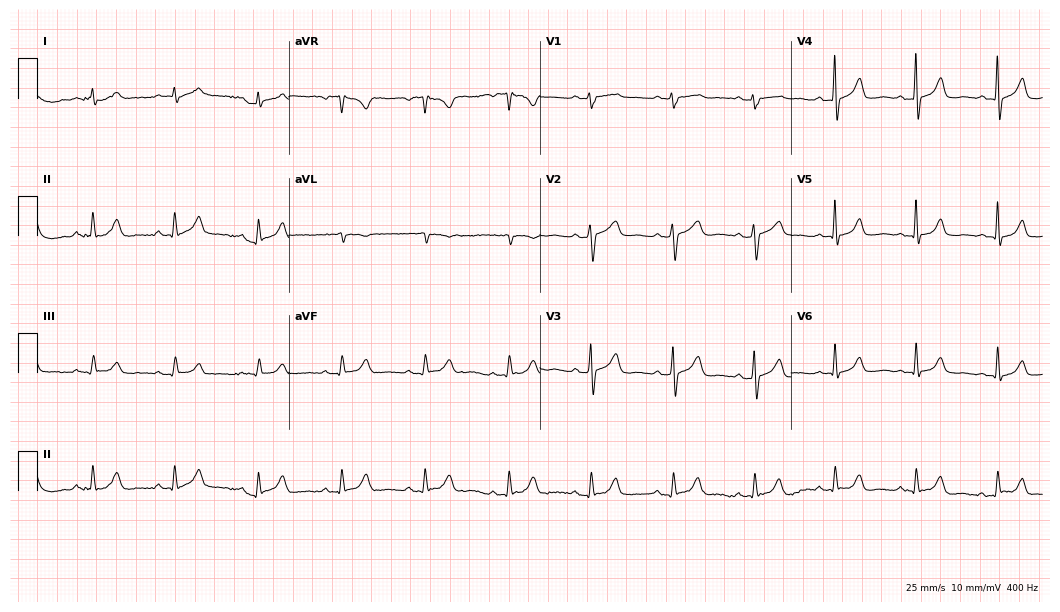
Resting 12-lead electrocardiogram (10.2-second recording at 400 Hz). Patient: a male, 83 years old. None of these six findings is recorded: first-degree AV block, right bundle branch block, left bundle branch block, sinus bradycardia, atrial fibrillation, sinus tachycardia.